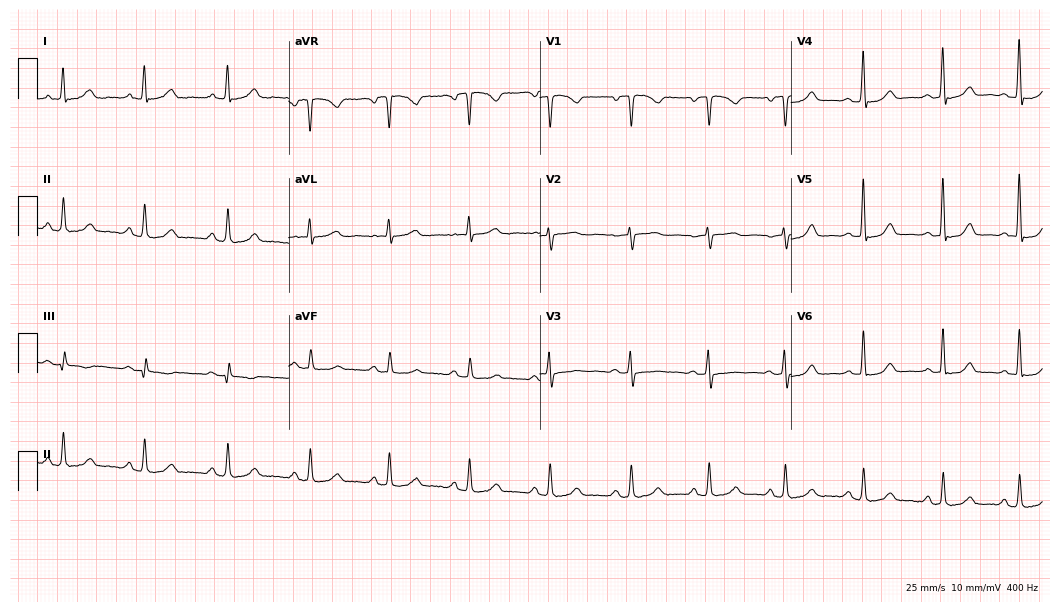
Electrocardiogram (10.2-second recording at 400 Hz), a 48-year-old female patient. Overall reading on record: normal ECG.